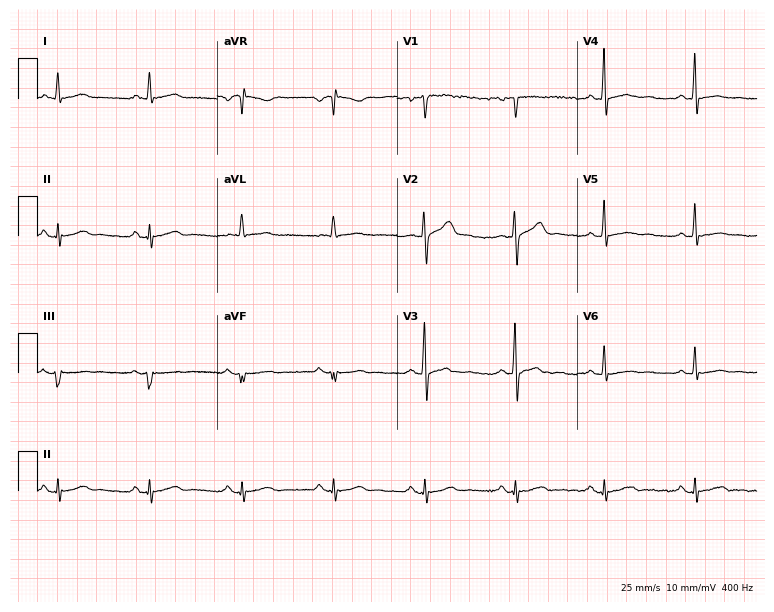
12-lead ECG from a 44-year-old male patient. Labelled as a normal ECG.